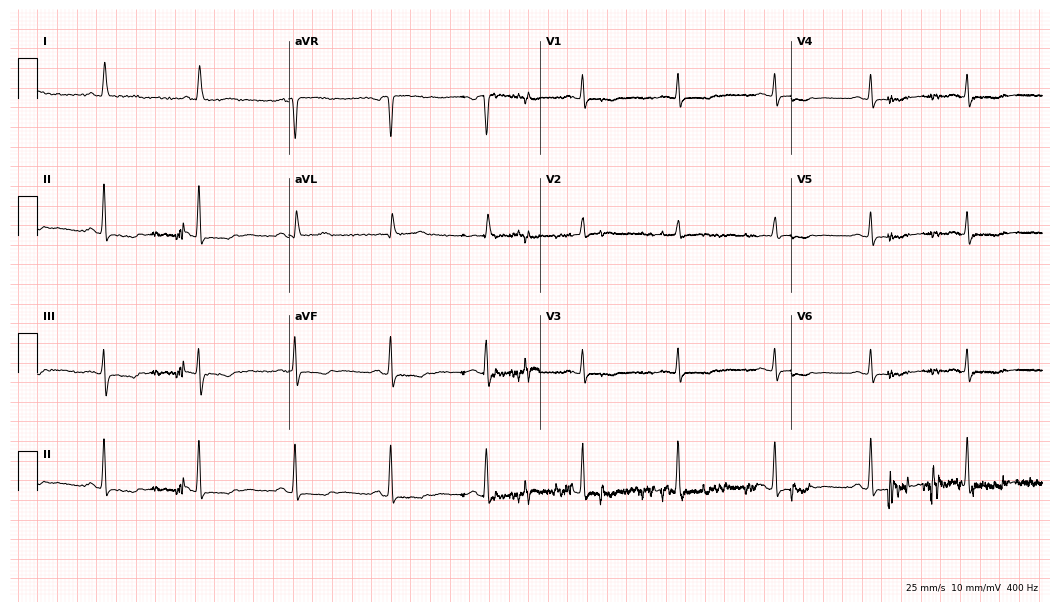
12-lead ECG from an 84-year-old female (10.2-second recording at 400 Hz). No first-degree AV block, right bundle branch block, left bundle branch block, sinus bradycardia, atrial fibrillation or sinus tachycardia recorded for this tracing. Only these six findings were labelled.